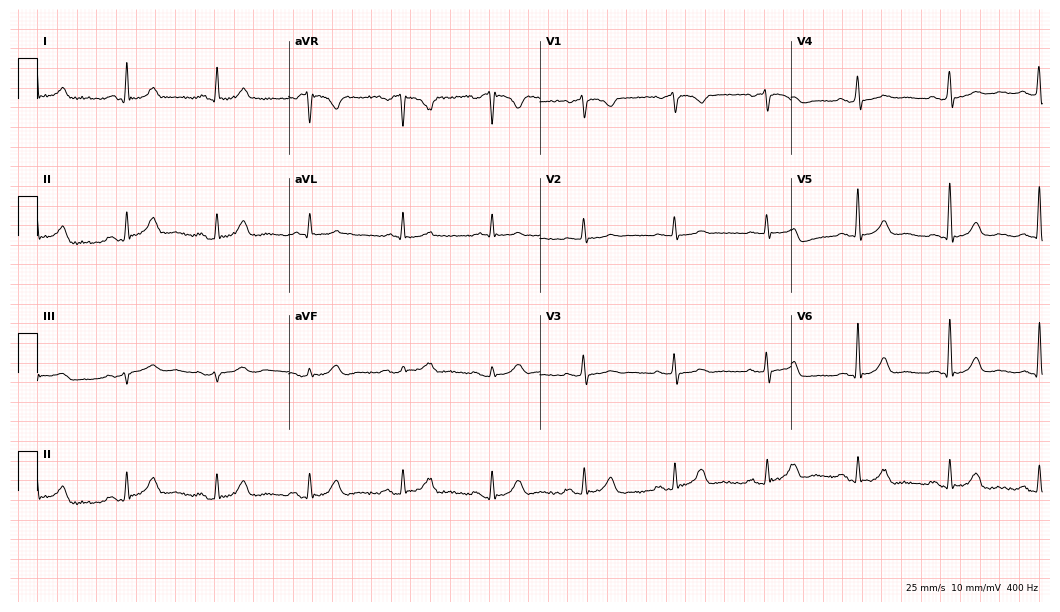
12-lead ECG from a 74-year-old female patient. Screened for six findings — first-degree AV block, right bundle branch block, left bundle branch block, sinus bradycardia, atrial fibrillation, sinus tachycardia — none is recorded.